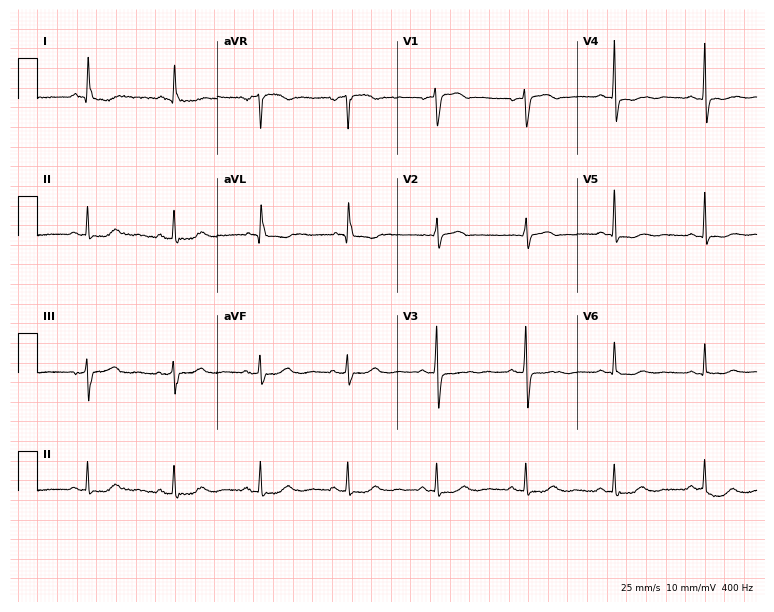
ECG — a male, 52 years old. Screened for six findings — first-degree AV block, right bundle branch block, left bundle branch block, sinus bradycardia, atrial fibrillation, sinus tachycardia — none is recorded.